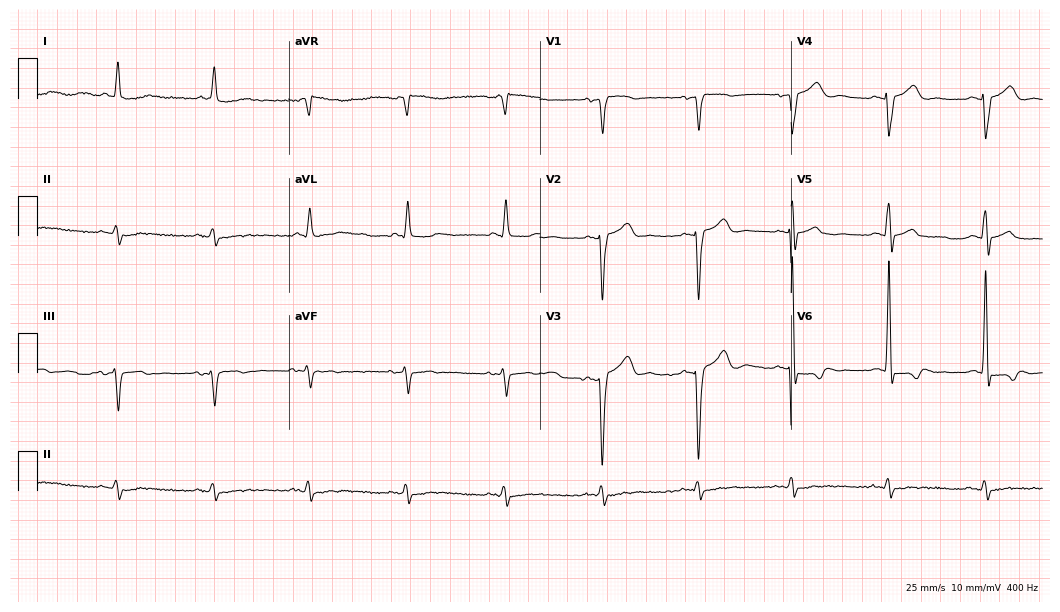
ECG — a male patient, 75 years old. Labelled as a normal ECG.